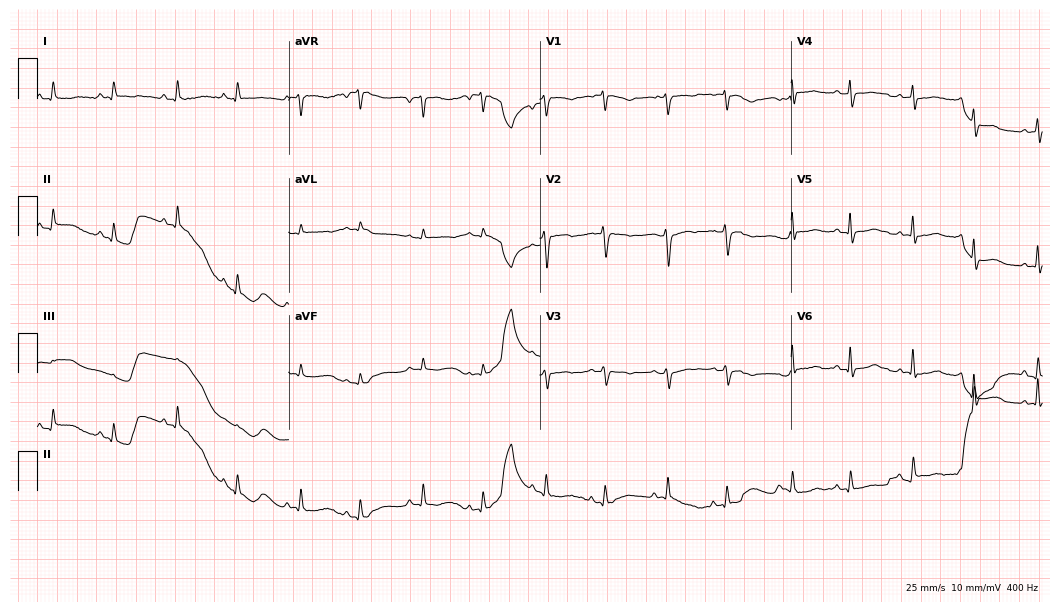
12-lead ECG from a 46-year-old female. Recorded interpretation: within normal limits.